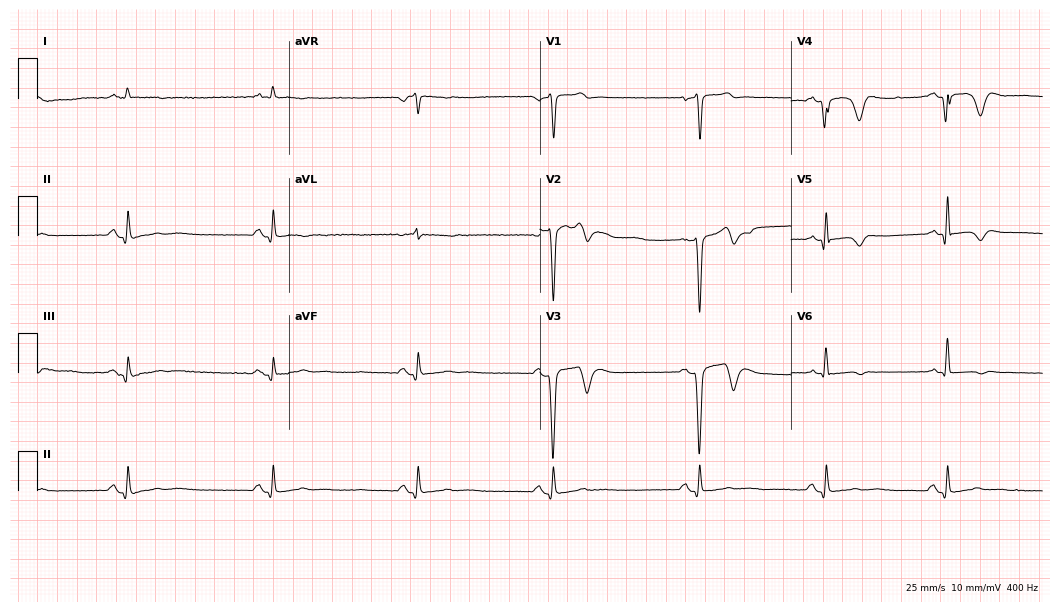
Electrocardiogram, a man, 64 years old. Interpretation includes sinus bradycardia (a sinus rate of 50 beats per minute or less).